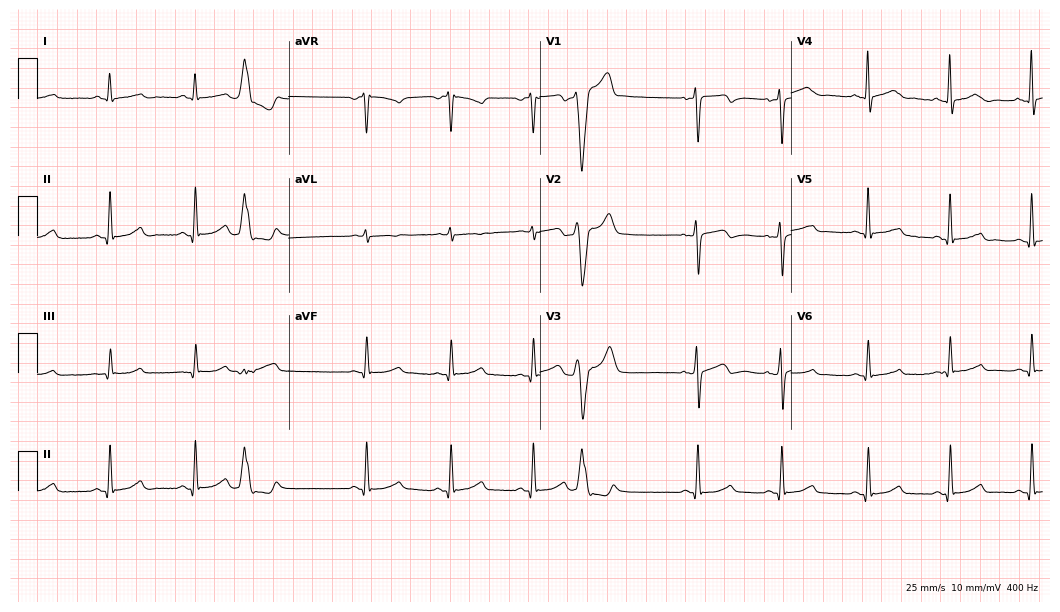
Electrocardiogram, a 75-year-old male. Of the six screened findings (first-degree AV block, right bundle branch block (RBBB), left bundle branch block (LBBB), sinus bradycardia, atrial fibrillation (AF), sinus tachycardia), none is recorded.